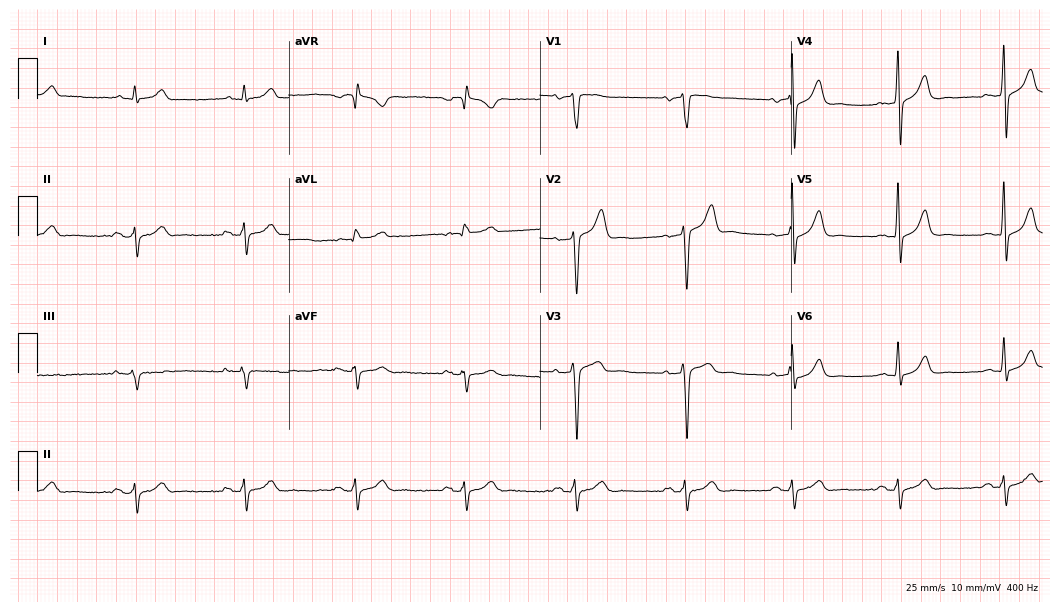
Electrocardiogram (10.2-second recording at 400 Hz), a 67-year-old male patient. Of the six screened findings (first-degree AV block, right bundle branch block (RBBB), left bundle branch block (LBBB), sinus bradycardia, atrial fibrillation (AF), sinus tachycardia), none is recorded. Findings outside these six are not listed.